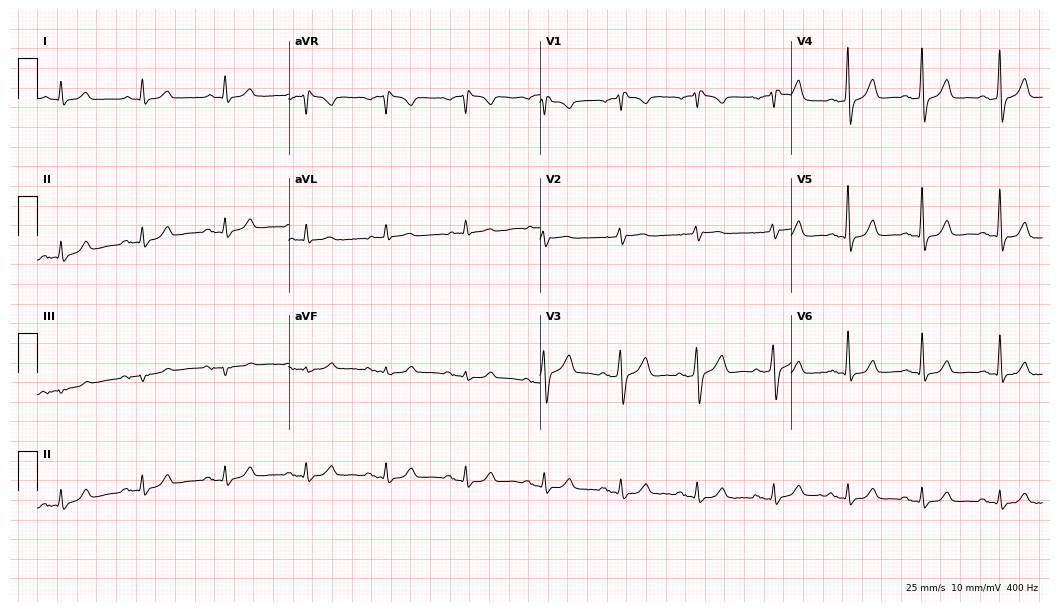
Standard 12-lead ECG recorded from a 73-year-old male patient. None of these six findings is recorded: first-degree AV block, right bundle branch block, left bundle branch block, sinus bradycardia, atrial fibrillation, sinus tachycardia.